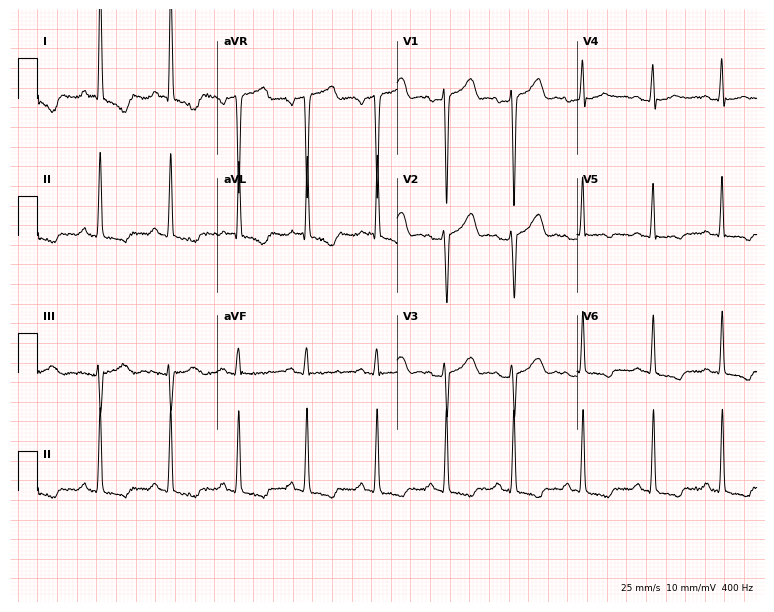
Standard 12-lead ECG recorded from a 55-year-old woman. None of these six findings is recorded: first-degree AV block, right bundle branch block, left bundle branch block, sinus bradycardia, atrial fibrillation, sinus tachycardia.